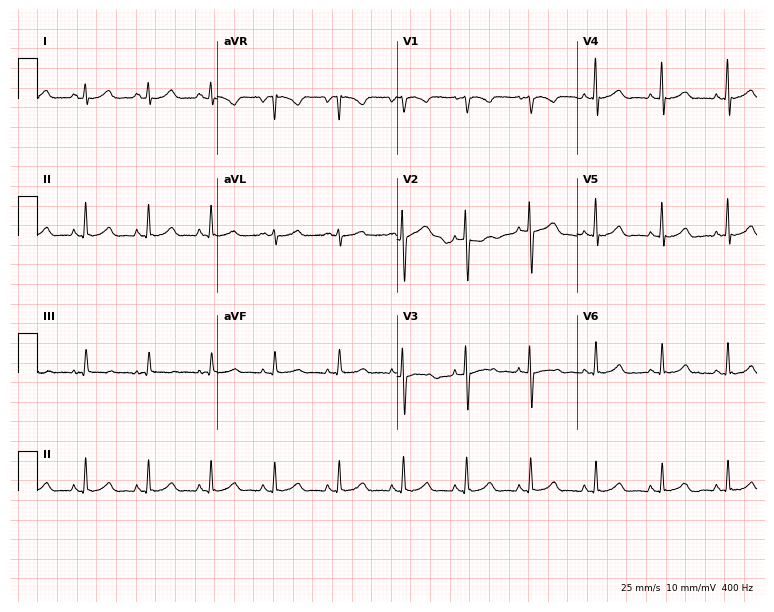
Resting 12-lead electrocardiogram. Patient: a female, 24 years old. None of these six findings is recorded: first-degree AV block, right bundle branch block, left bundle branch block, sinus bradycardia, atrial fibrillation, sinus tachycardia.